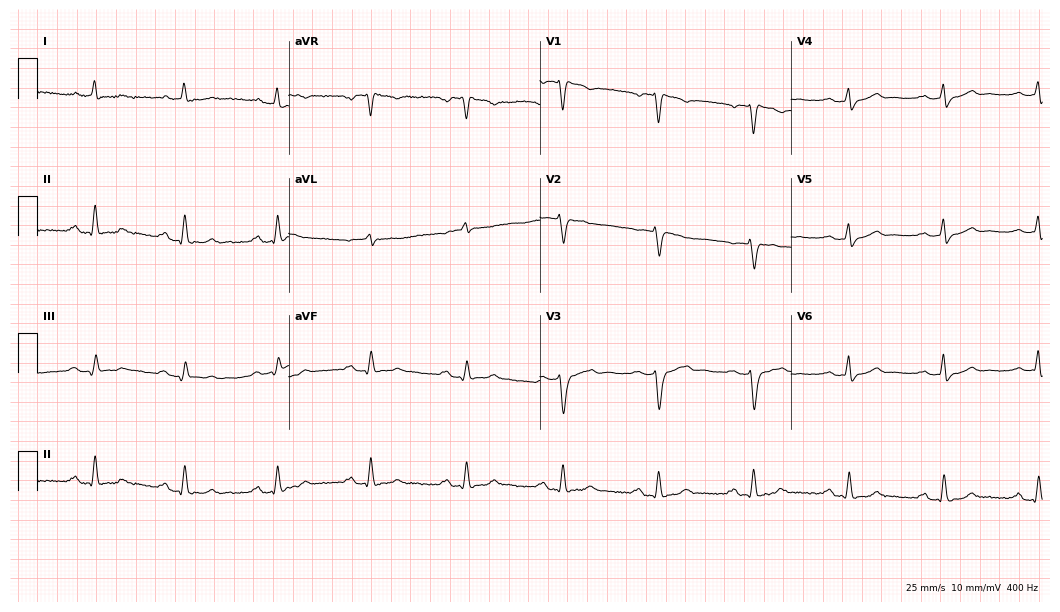
Electrocardiogram, a man, 54 years old. Interpretation includes first-degree AV block.